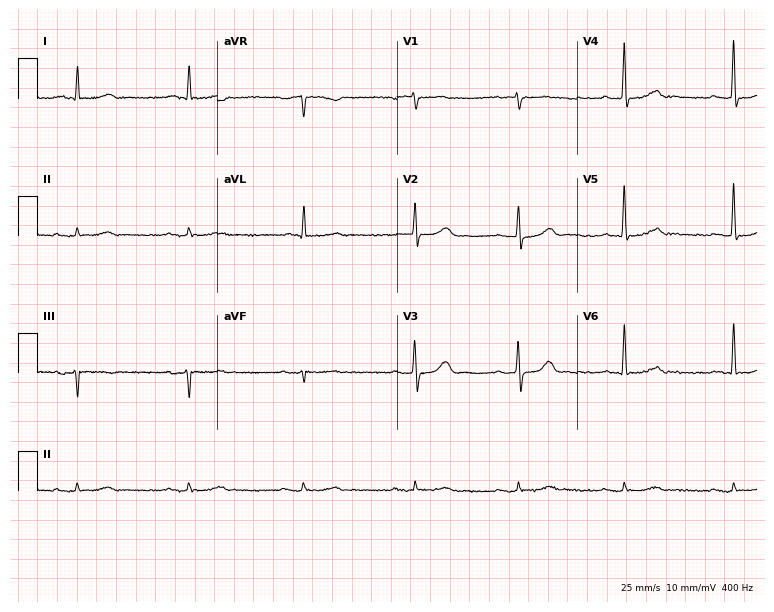
12-lead ECG from a male, 76 years old. Shows first-degree AV block.